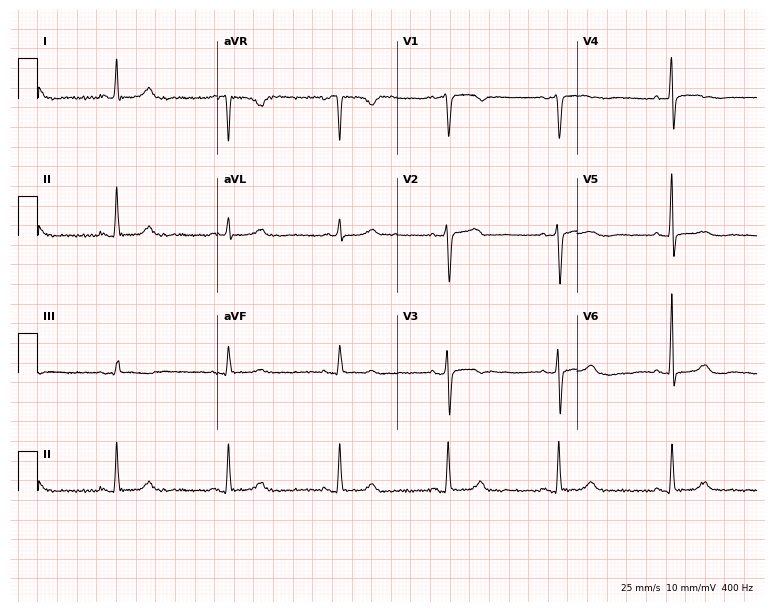
Resting 12-lead electrocardiogram (7.3-second recording at 400 Hz). Patient: a female, 77 years old. None of these six findings is recorded: first-degree AV block, right bundle branch block, left bundle branch block, sinus bradycardia, atrial fibrillation, sinus tachycardia.